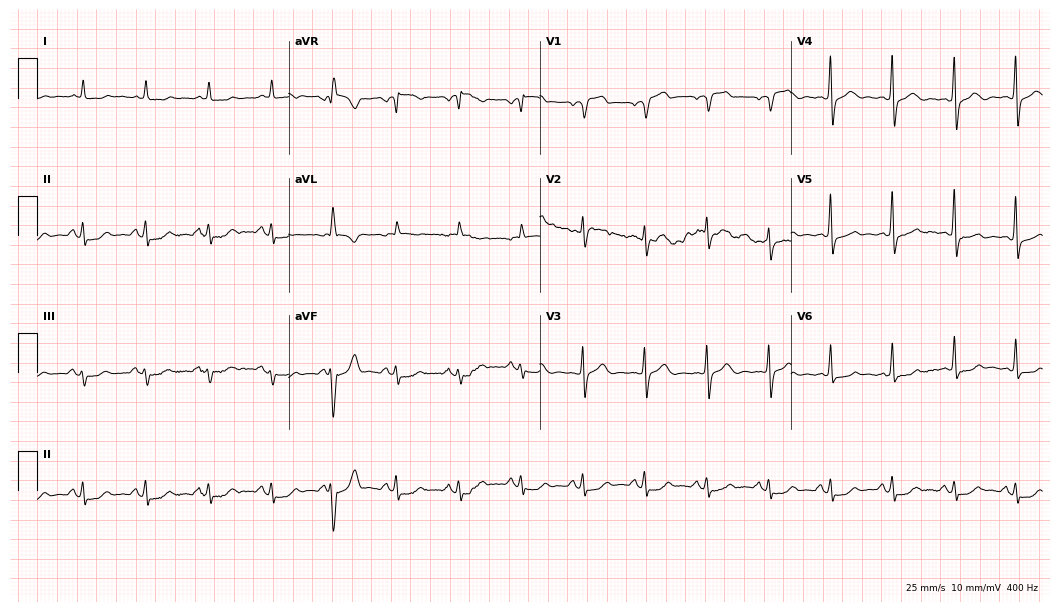
12-lead ECG (10.2-second recording at 400 Hz) from a man, 75 years old. Screened for six findings — first-degree AV block, right bundle branch block, left bundle branch block, sinus bradycardia, atrial fibrillation, sinus tachycardia — none is recorded.